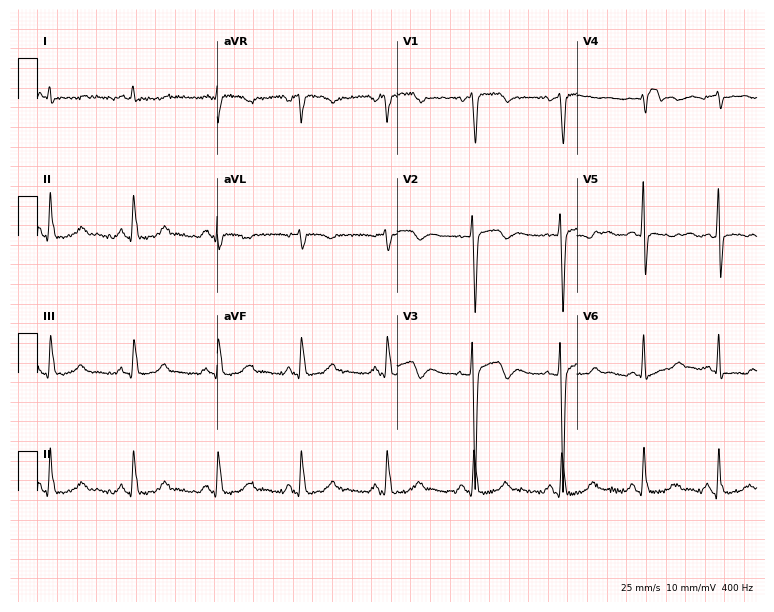
Standard 12-lead ECG recorded from a man, 46 years old (7.3-second recording at 400 Hz). Read as a normal ECG.